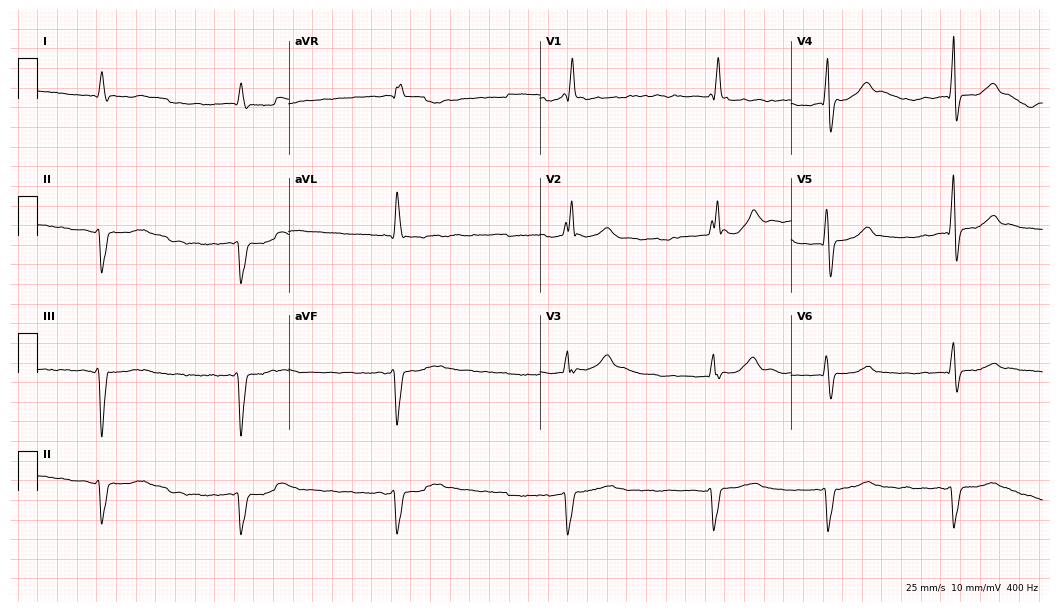
12-lead ECG from a 71-year-old male patient. Screened for six findings — first-degree AV block, right bundle branch block (RBBB), left bundle branch block (LBBB), sinus bradycardia, atrial fibrillation (AF), sinus tachycardia — none is recorded. Only these six findings were labelled.